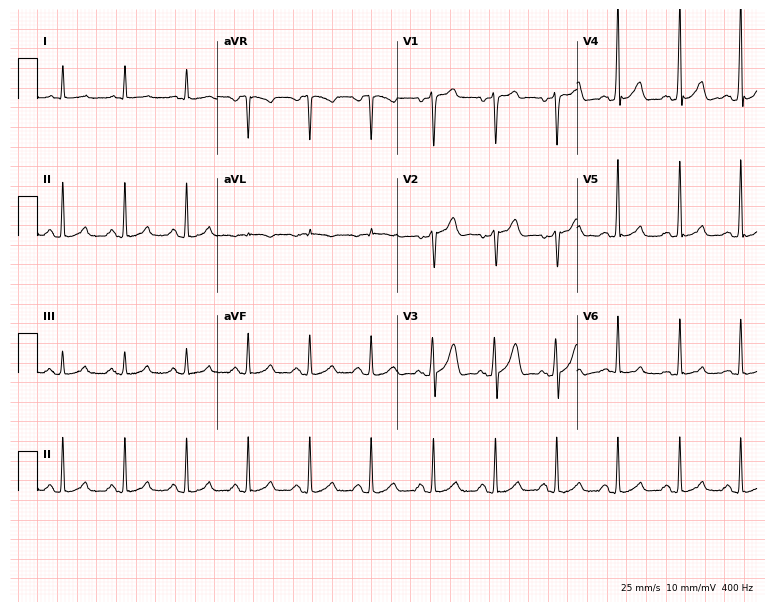
Resting 12-lead electrocardiogram (7.3-second recording at 400 Hz). Patient: a male, 36 years old. None of these six findings is recorded: first-degree AV block, right bundle branch block (RBBB), left bundle branch block (LBBB), sinus bradycardia, atrial fibrillation (AF), sinus tachycardia. Findings outside these six are not listed.